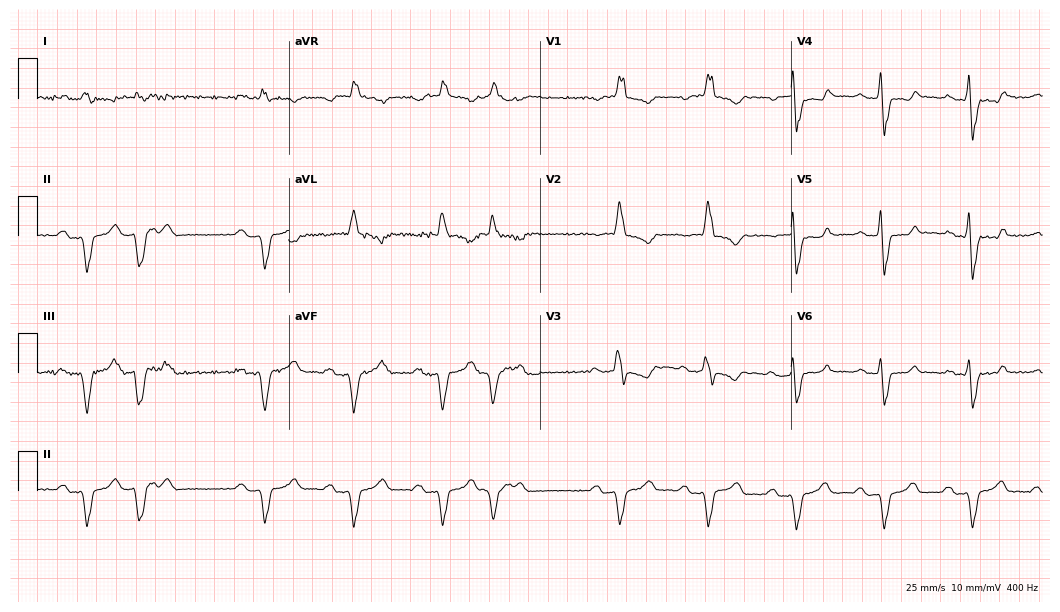
Electrocardiogram, a 74-year-old male patient. Of the six screened findings (first-degree AV block, right bundle branch block (RBBB), left bundle branch block (LBBB), sinus bradycardia, atrial fibrillation (AF), sinus tachycardia), none is recorded. Only these six findings were labelled.